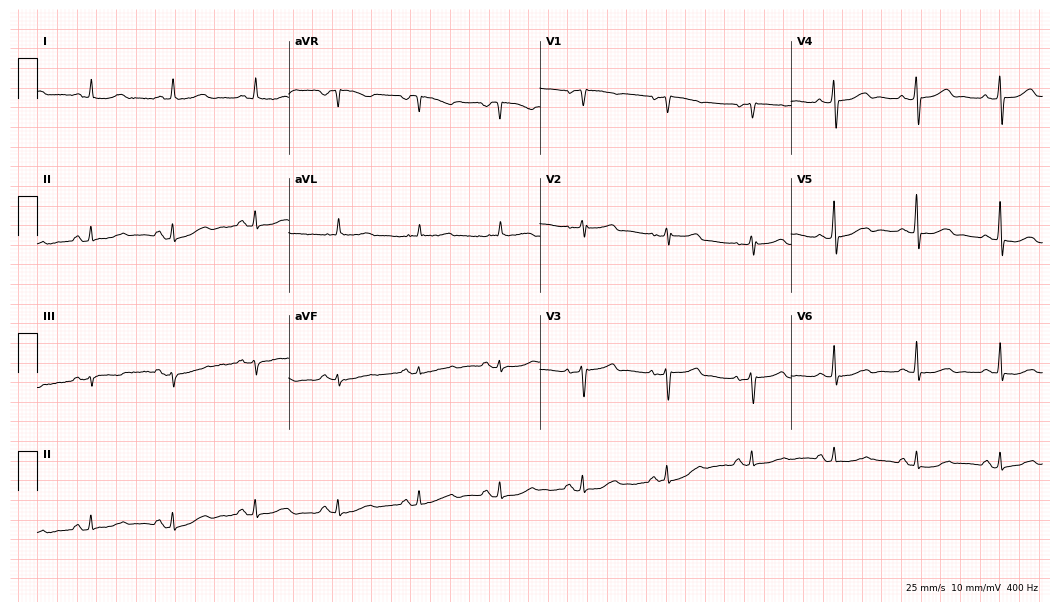
12-lead ECG from a 66-year-old woman. Recorded interpretation: within normal limits.